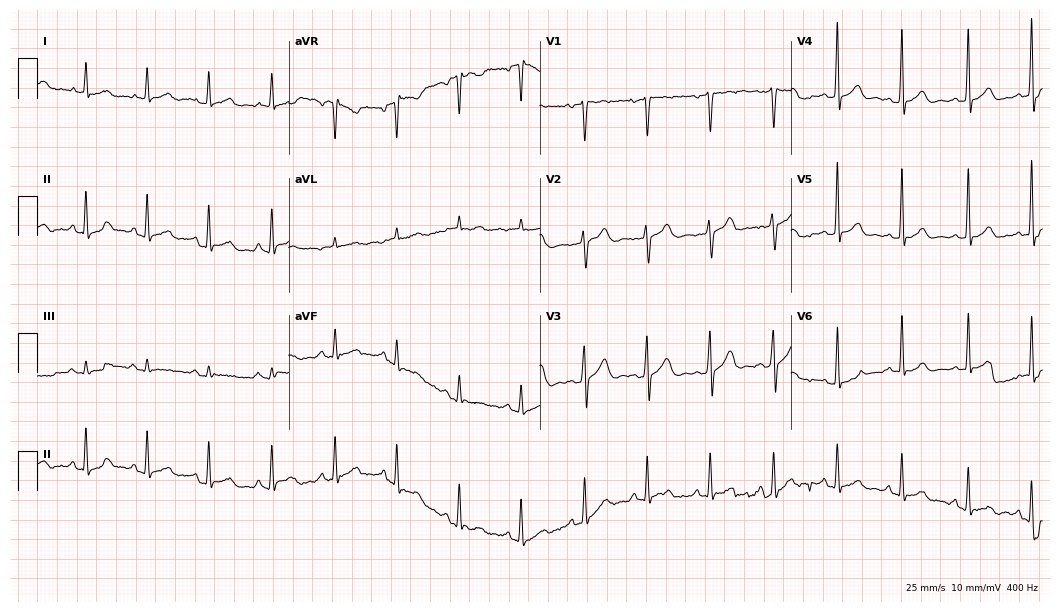
ECG (10.2-second recording at 400 Hz) — a male patient, 38 years old. Labelled as a normal ECG.